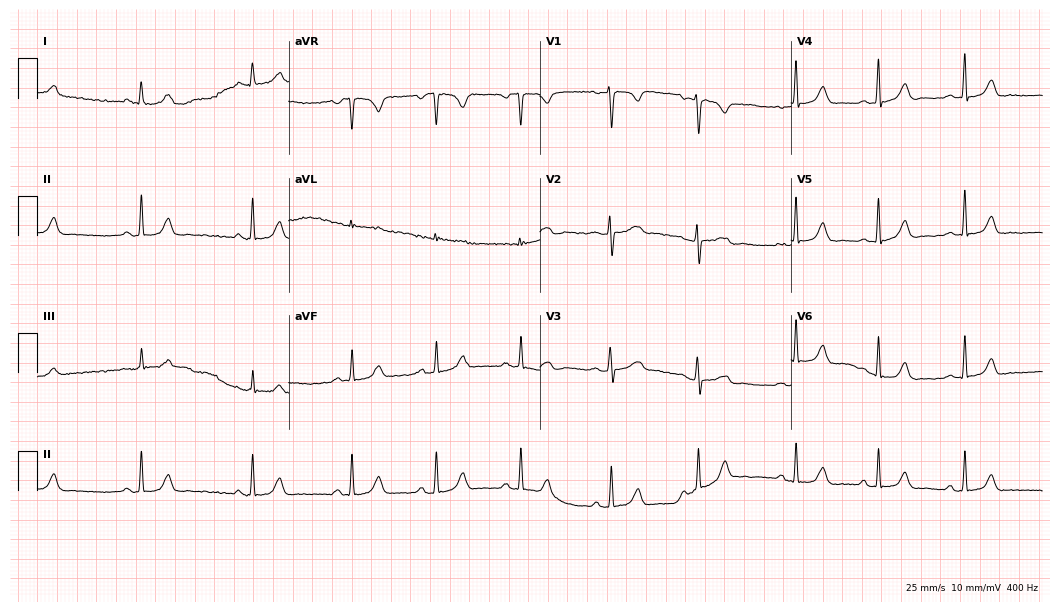
Resting 12-lead electrocardiogram. Patient: a 24-year-old female. Read as a normal ECG.